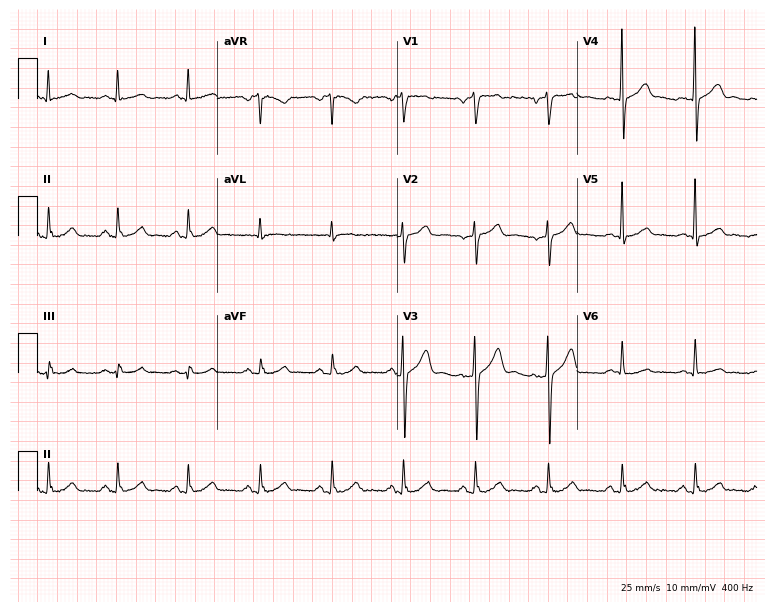
Standard 12-lead ECG recorded from a 54-year-old male (7.3-second recording at 400 Hz). None of these six findings is recorded: first-degree AV block, right bundle branch block, left bundle branch block, sinus bradycardia, atrial fibrillation, sinus tachycardia.